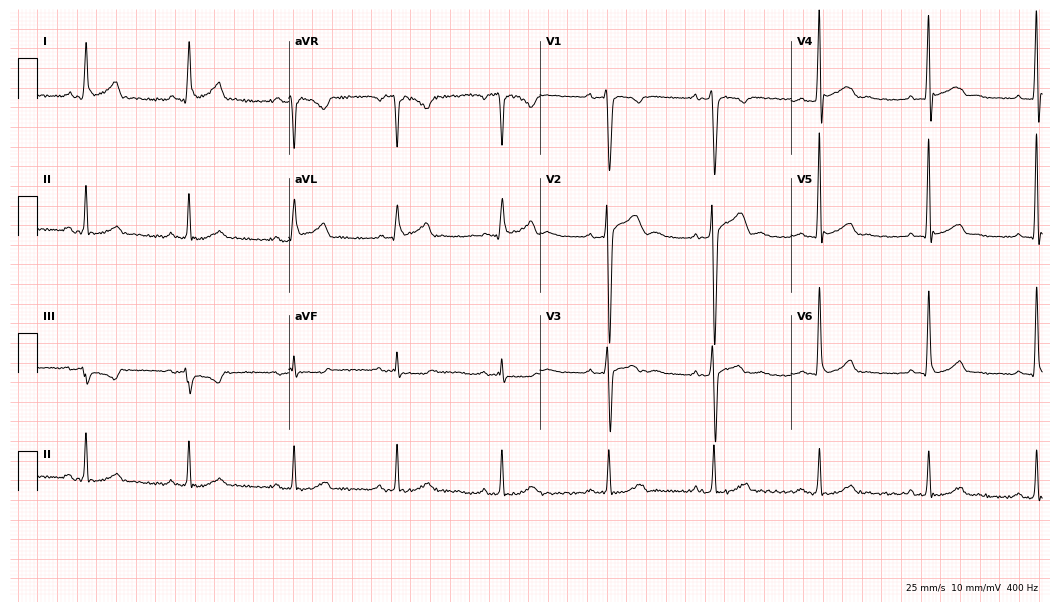
Electrocardiogram, a male, 38 years old. Of the six screened findings (first-degree AV block, right bundle branch block, left bundle branch block, sinus bradycardia, atrial fibrillation, sinus tachycardia), none is recorded.